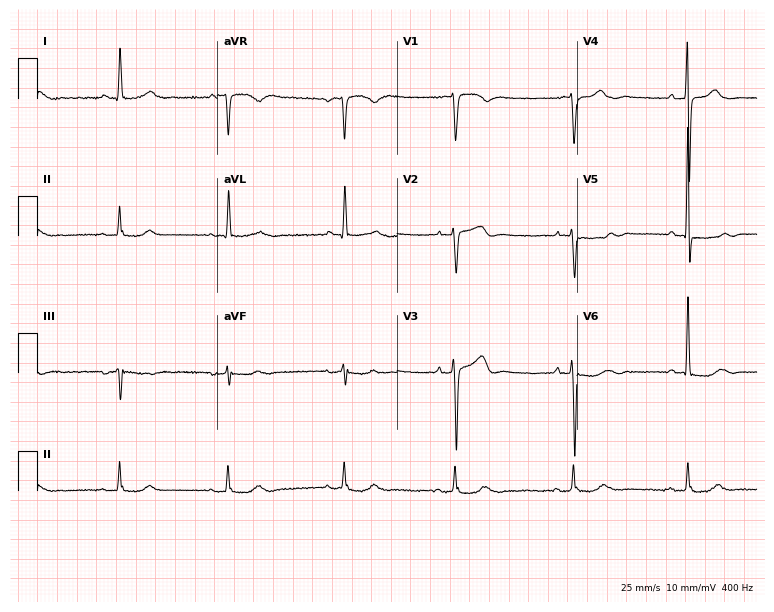
12-lead ECG from a male patient, 71 years old (7.3-second recording at 400 Hz). Recorded interpretation: within normal limits.